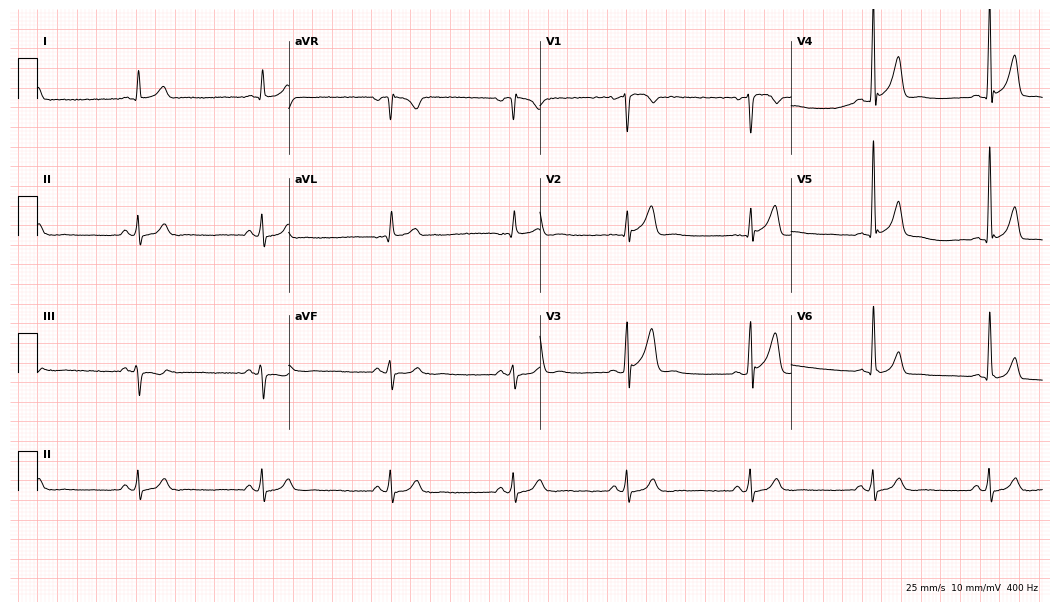
Resting 12-lead electrocardiogram (10.2-second recording at 400 Hz). Patient: a 31-year-old male. The tracing shows sinus bradycardia (a sinus rate of 50 beats per minute or less).